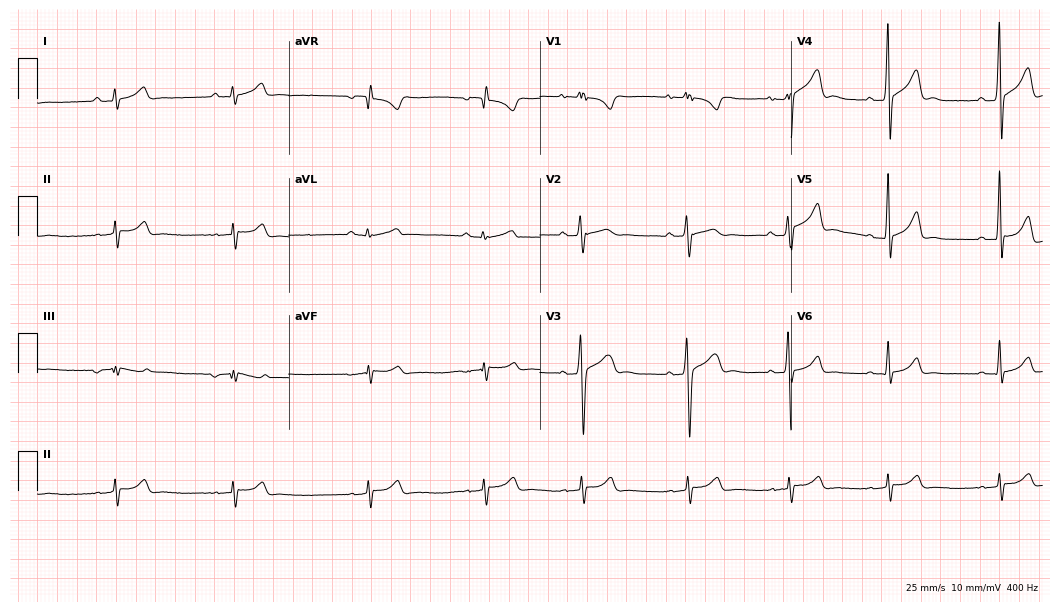
Standard 12-lead ECG recorded from a 17-year-old male. Read as a normal ECG.